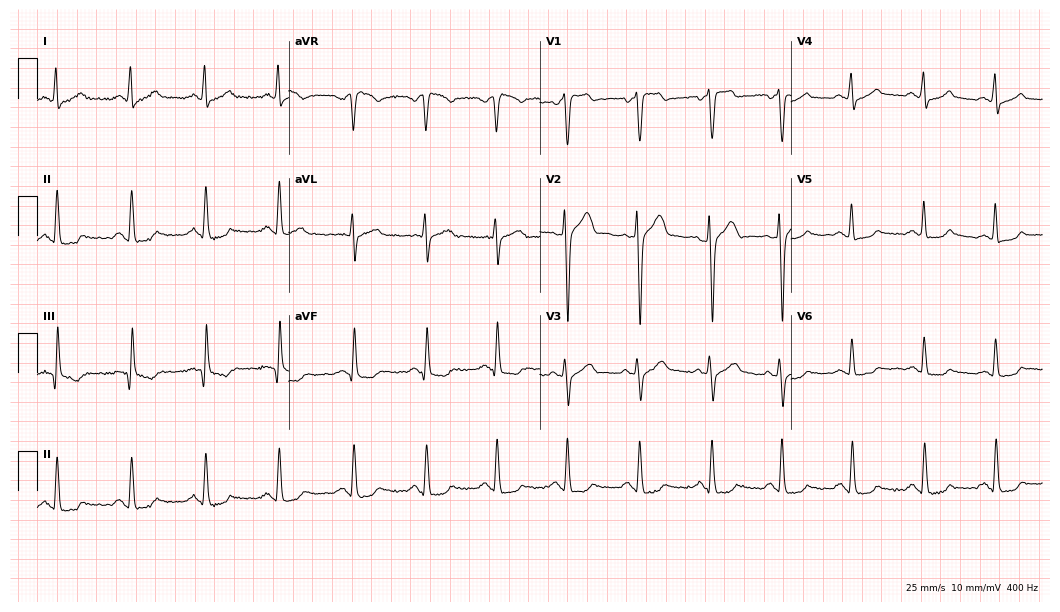
12-lead ECG from a male, 29 years old (10.2-second recording at 400 Hz). Recorded interpretation: within normal limits.